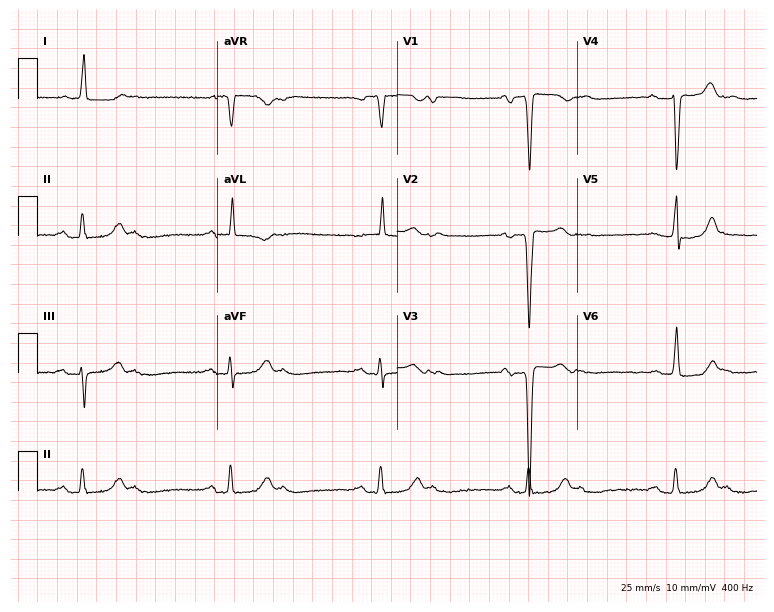
Electrocardiogram (7.3-second recording at 400 Hz), a 38-year-old female patient. Of the six screened findings (first-degree AV block, right bundle branch block (RBBB), left bundle branch block (LBBB), sinus bradycardia, atrial fibrillation (AF), sinus tachycardia), none is recorded.